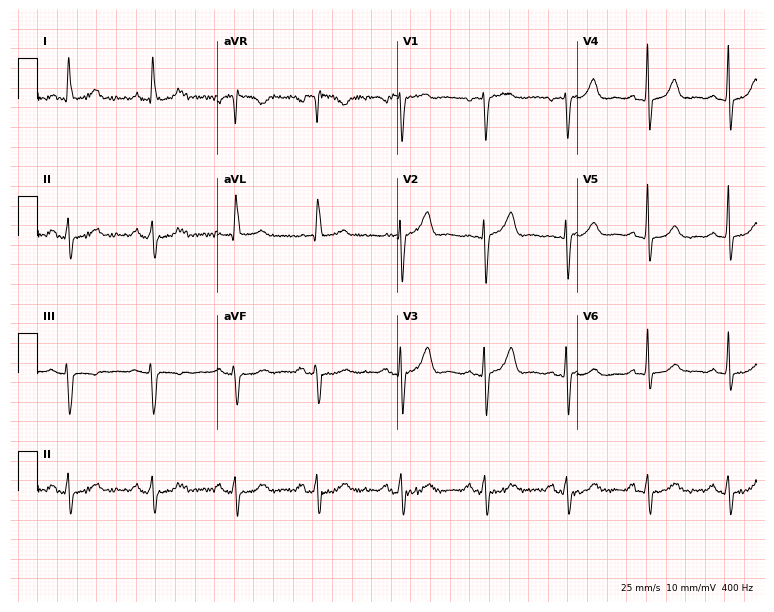
Resting 12-lead electrocardiogram. Patient: an 82-year-old woman. None of these six findings is recorded: first-degree AV block, right bundle branch block, left bundle branch block, sinus bradycardia, atrial fibrillation, sinus tachycardia.